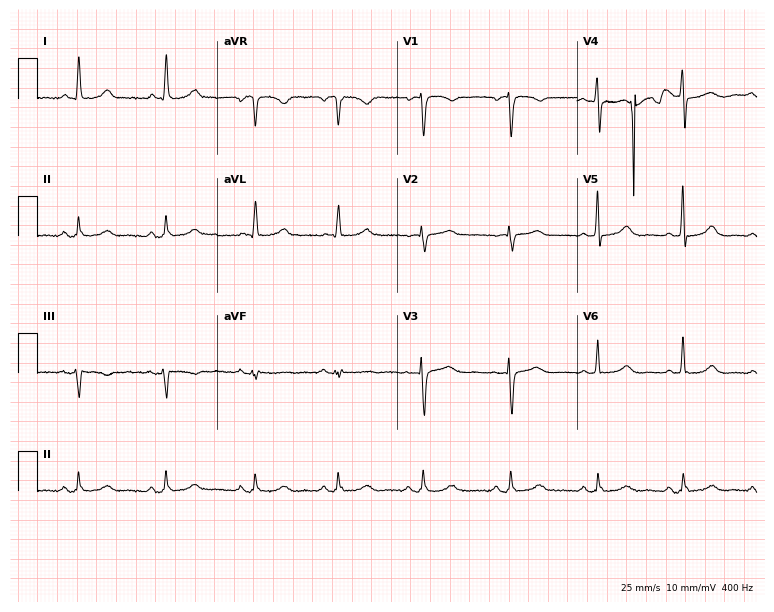
12-lead ECG from a 62-year-old woman. Labelled as a normal ECG.